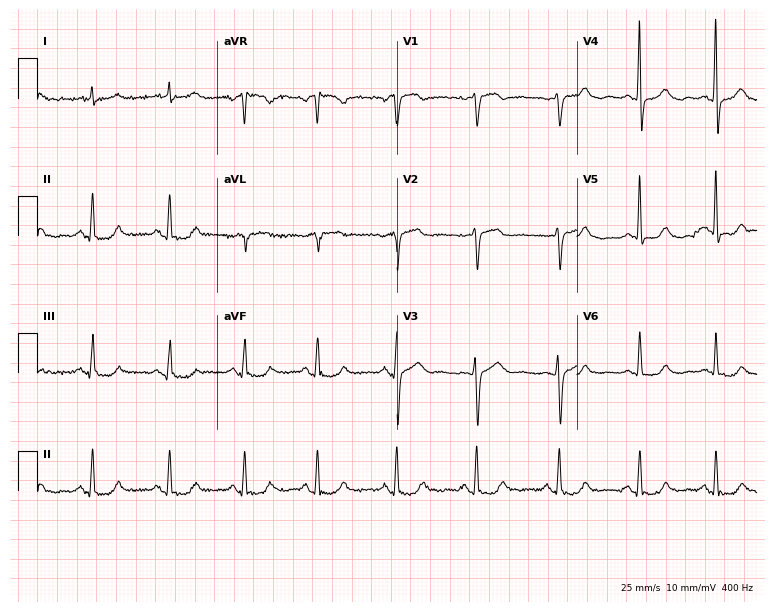
12-lead ECG from a 65-year-old female. Labelled as a normal ECG.